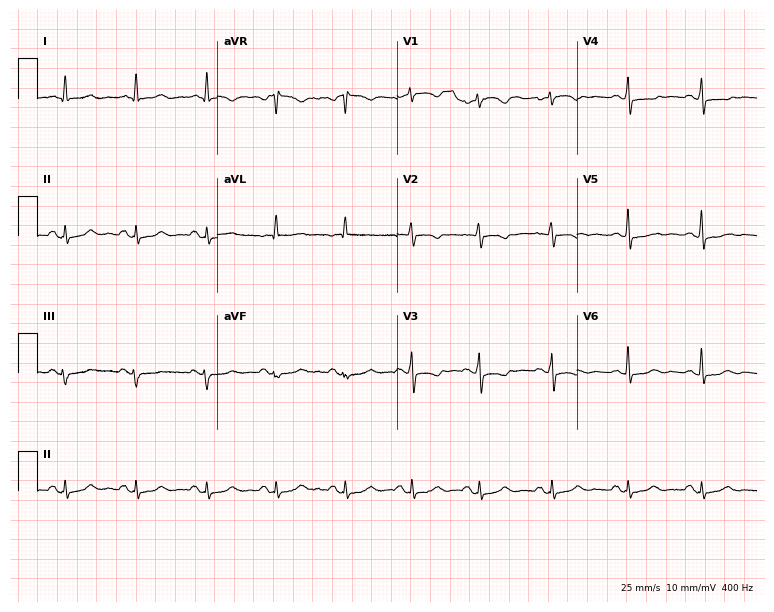
12-lead ECG from a female, 60 years old (7.3-second recording at 400 Hz). No first-degree AV block, right bundle branch block (RBBB), left bundle branch block (LBBB), sinus bradycardia, atrial fibrillation (AF) or sinus tachycardia recorded for this tracing. Only these six findings were labelled.